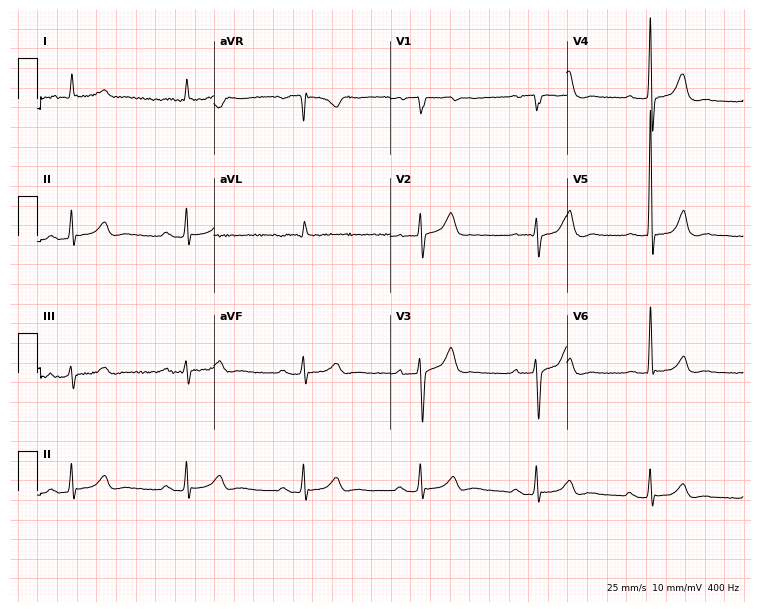
12-lead ECG from an 83-year-old man. Screened for six findings — first-degree AV block, right bundle branch block (RBBB), left bundle branch block (LBBB), sinus bradycardia, atrial fibrillation (AF), sinus tachycardia — none is recorded. Only these six findings were labelled.